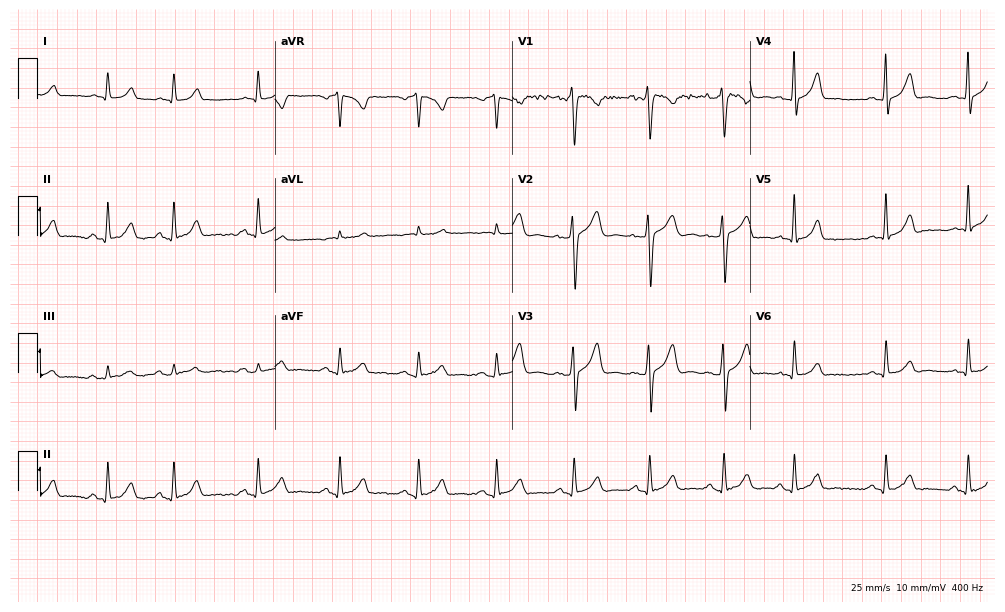
Standard 12-lead ECG recorded from a man, 39 years old. None of these six findings is recorded: first-degree AV block, right bundle branch block (RBBB), left bundle branch block (LBBB), sinus bradycardia, atrial fibrillation (AF), sinus tachycardia.